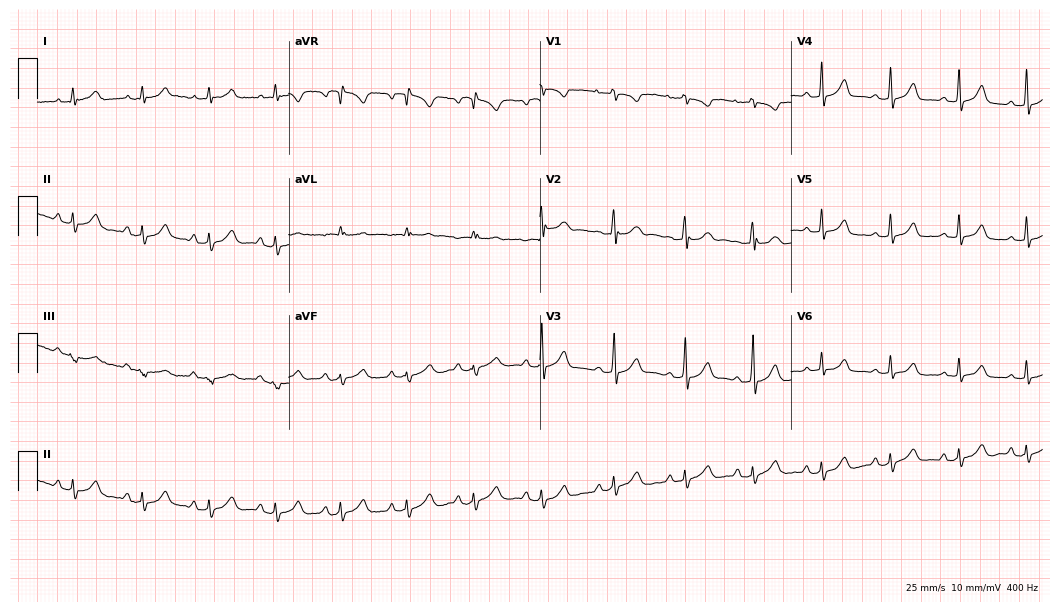
Electrocardiogram (10.2-second recording at 400 Hz), a 41-year-old woman. Overall reading on record: normal ECG.